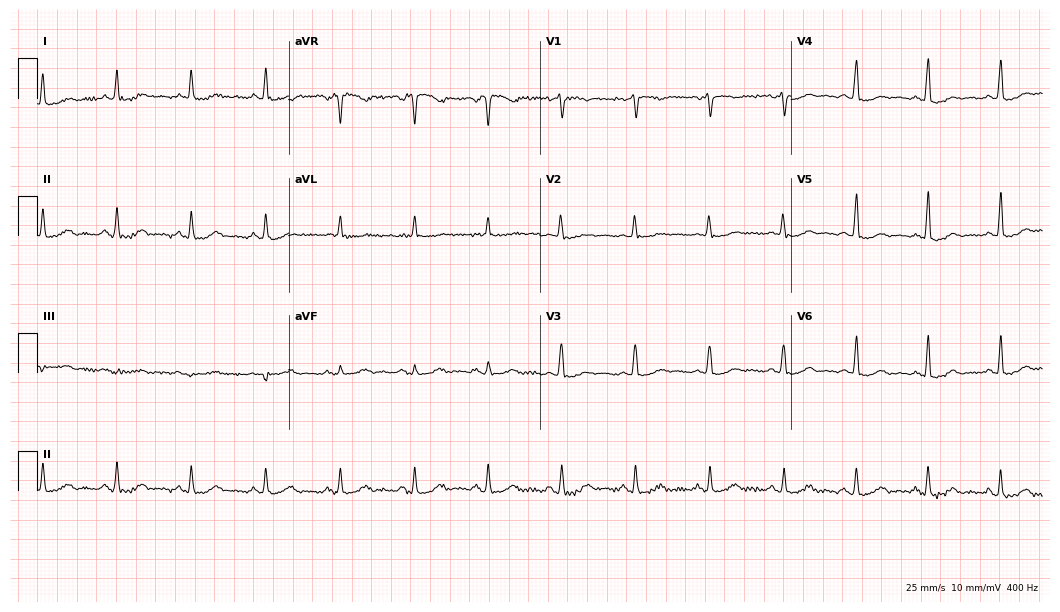
Resting 12-lead electrocardiogram. Patient: a 71-year-old female. None of these six findings is recorded: first-degree AV block, right bundle branch block, left bundle branch block, sinus bradycardia, atrial fibrillation, sinus tachycardia.